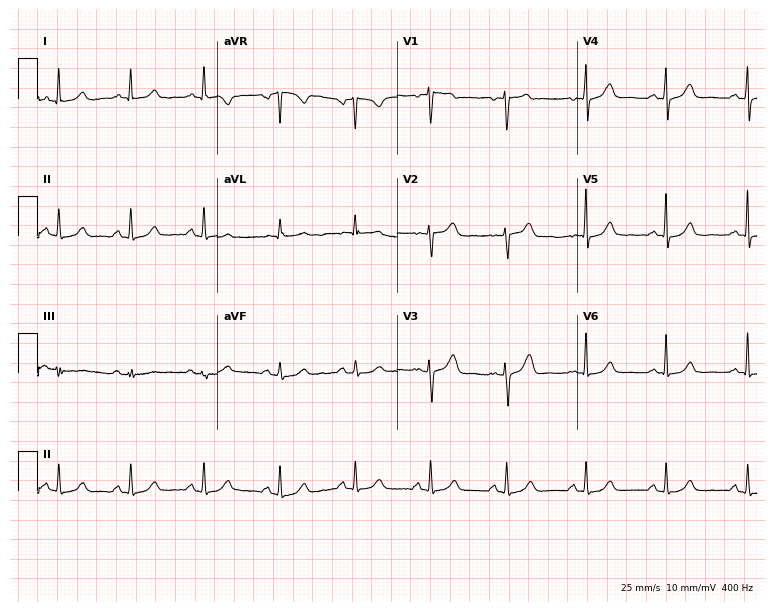
Resting 12-lead electrocardiogram. Patient: a 63-year-old female. Read as a normal ECG.